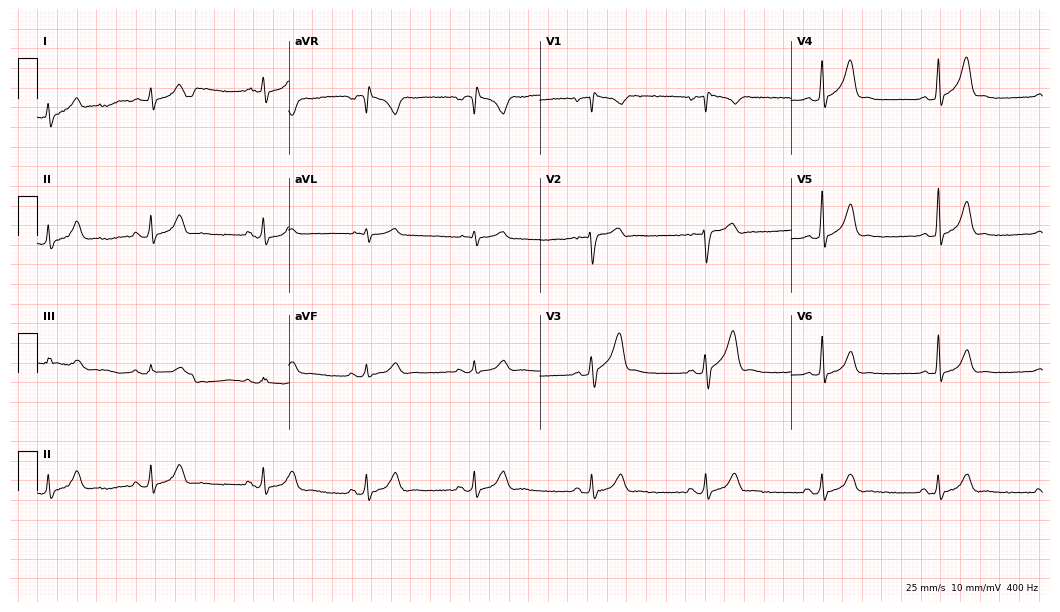
Resting 12-lead electrocardiogram. Patient: a 34-year-old male. None of these six findings is recorded: first-degree AV block, right bundle branch block, left bundle branch block, sinus bradycardia, atrial fibrillation, sinus tachycardia.